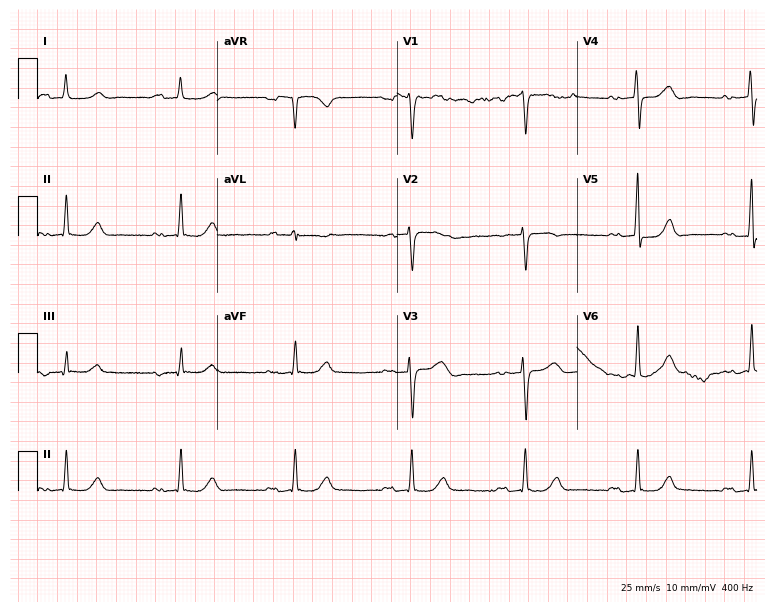
Resting 12-lead electrocardiogram. Patient: a 70-year-old female. None of these six findings is recorded: first-degree AV block, right bundle branch block, left bundle branch block, sinus bradycardia, atrial fibrillation, sinus tachycardia. Findings outside these six are not listed.